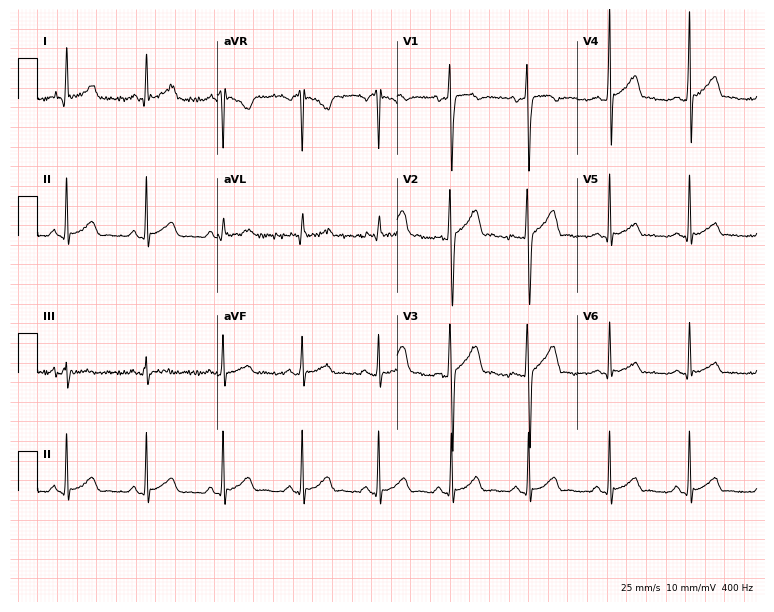
12-lead ECG from a male, 17 years old. Labelled as a normal ECG.